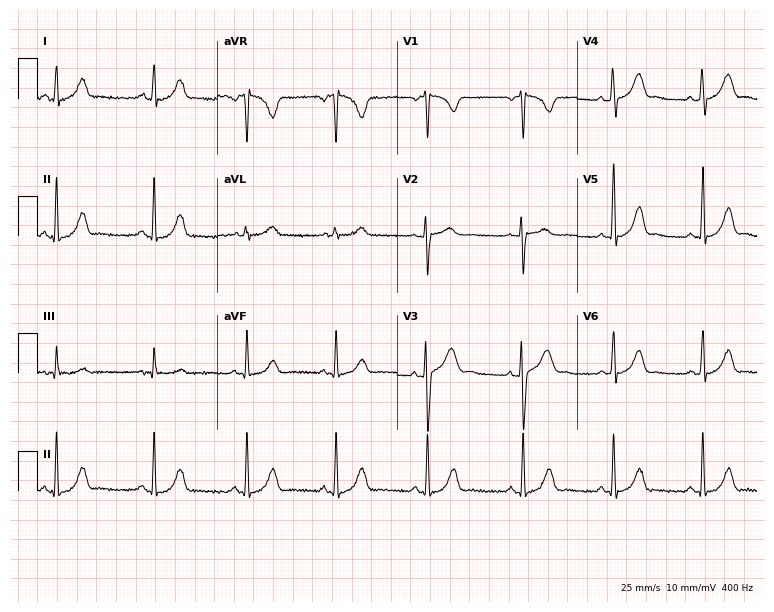
Resting 12-lead electrocardiogram (7.3-second recording at 400 Hz). Patient: a woman, 20 years old. Read as a normal ECG.